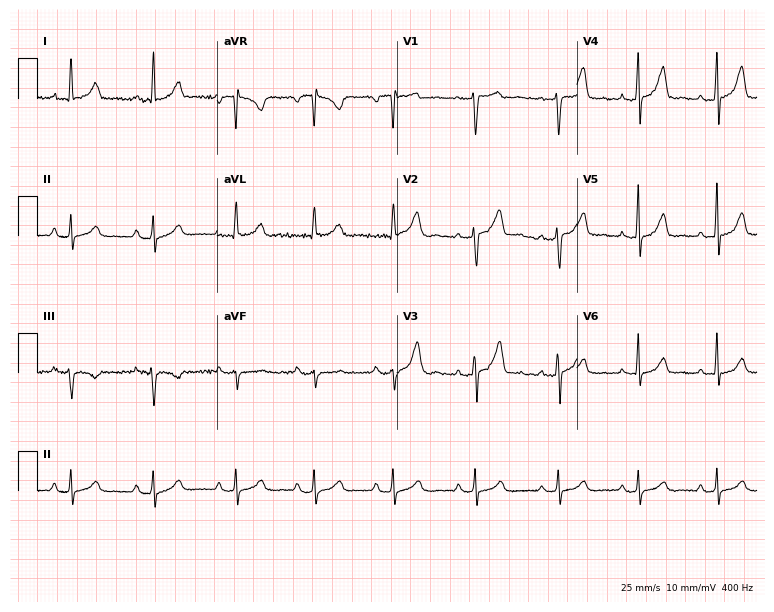
ECG (7.3-second recording at 400 Hz) — a 37-year-old female patient. Screened for six findings — first-degree AV block, right bundle branch block, left bundle branch block, sinus bradycardia, atrial fibrillation, sinus tachycardia — none is recorded.